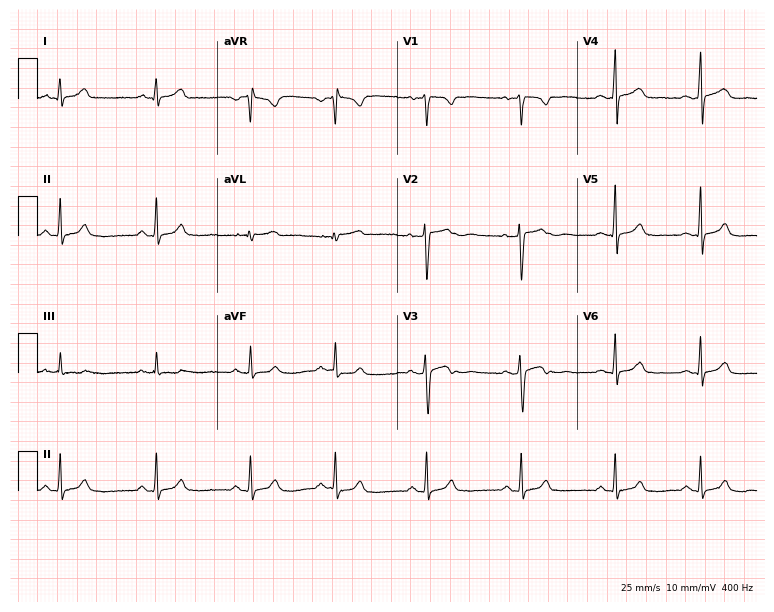
Resting 12-lead electrocardiogram. Patient: a 27-year-old female. Read as a normal ECG.